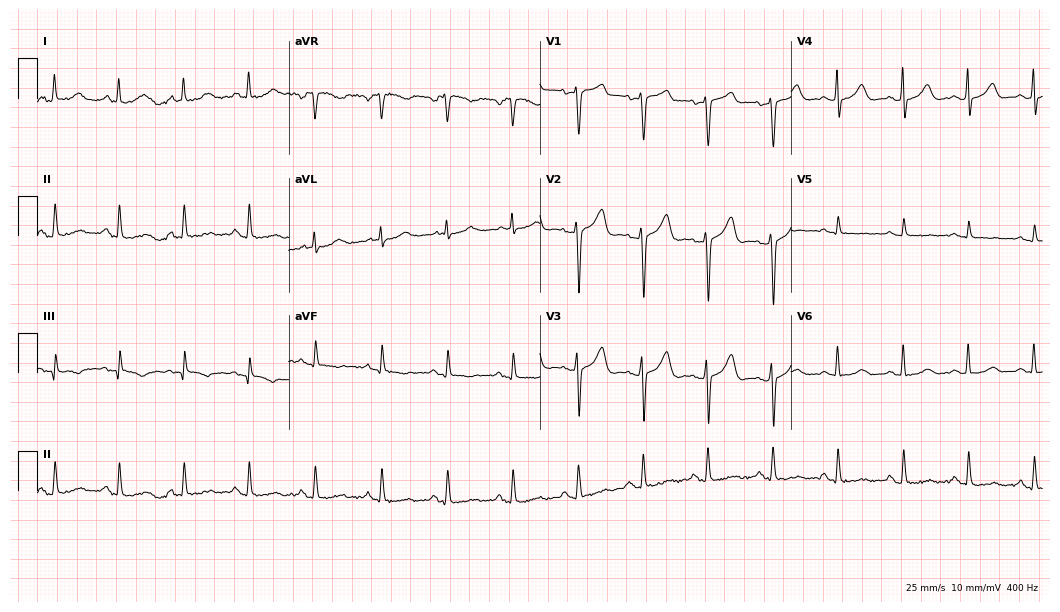
12-lead ECG (10.2-second recording at 400 Hz) from a 40-year-old woman. Screened for six findings — first-degree AV block, right bundle branch block (RBBB), left bundle branch block (LBBB), sinus bradycardia, atrial fibrillation (AF), sinus tachycardia — none is recorded. Only these six findings were labelled.